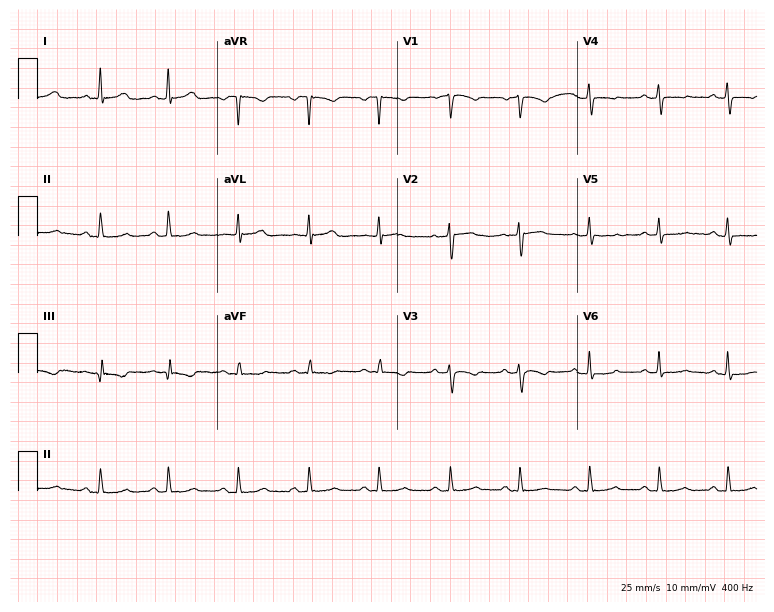
12-lead ECG from a 52-year-old woman. Screened for six findings — first-degree AV block, right bundle branch block (RBBB), left bundle branch block (LBBB), sinus bradycardia, atrial fibrillation (AF), sinus tachycardia — none is recorded.